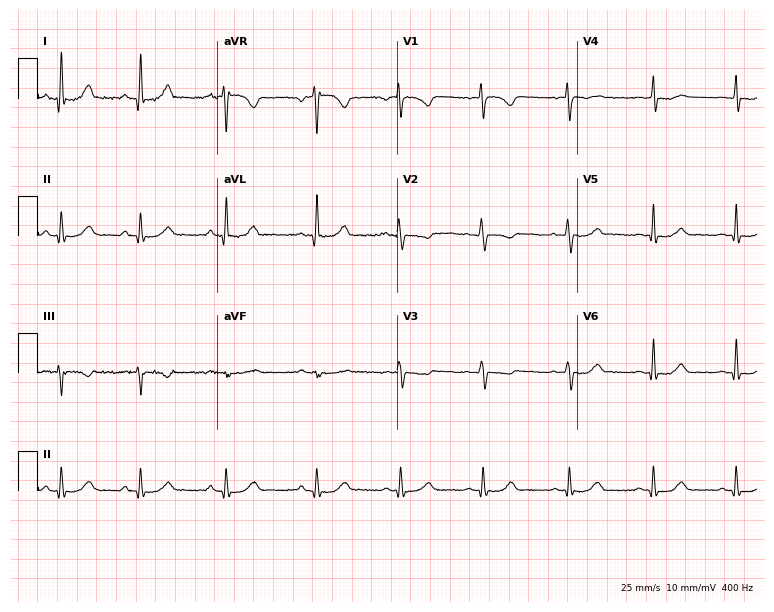
Electrocardiogram (7.3-second recording at 400 Hz), a 40-year-old woman. Overall reading on record: normal ECG.